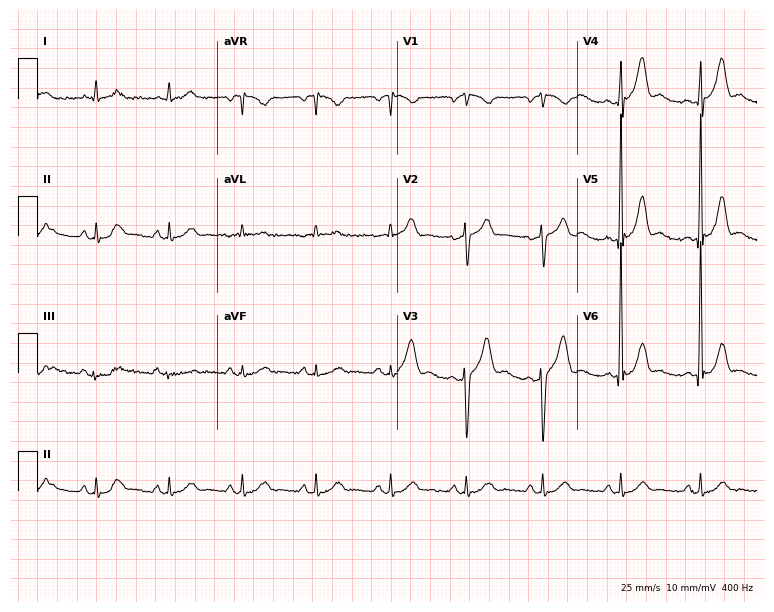
12-lead ECG from an 80-year-old man. Recorded interpretation: within normal limits.